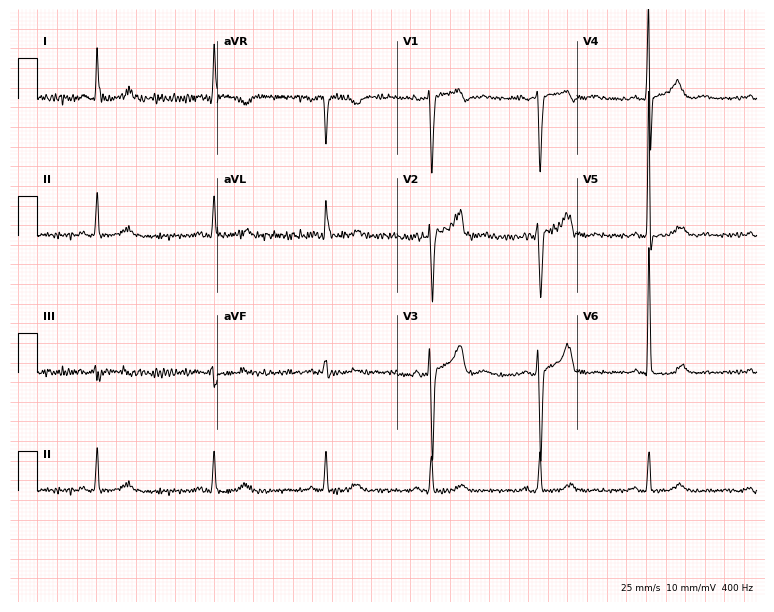
ECG — a male, 74 years old. Screened for six findings — first-degree AV block, right bundle branch block (RBBB), left bundle branch block (LBBB), sinus bradycardia, atrial fibrillation (AF), sinus tachycardia — none is recorded. Other findings, if any, are not listed.